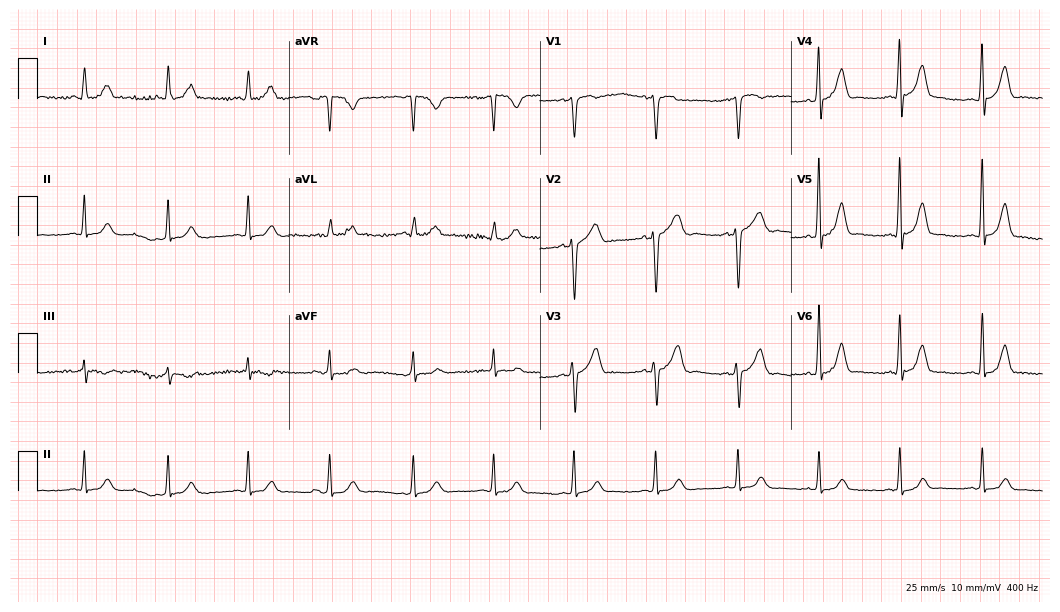
Electrocardiogram, a male patient, 72 years old. Of the six screened findings (first-degree AV block, right bundle branch block (RBBB), left bundle branch block (LBBB), sinus bradycardia, atrial fibrillation (AF), sinus tachycardia), none is recorded.